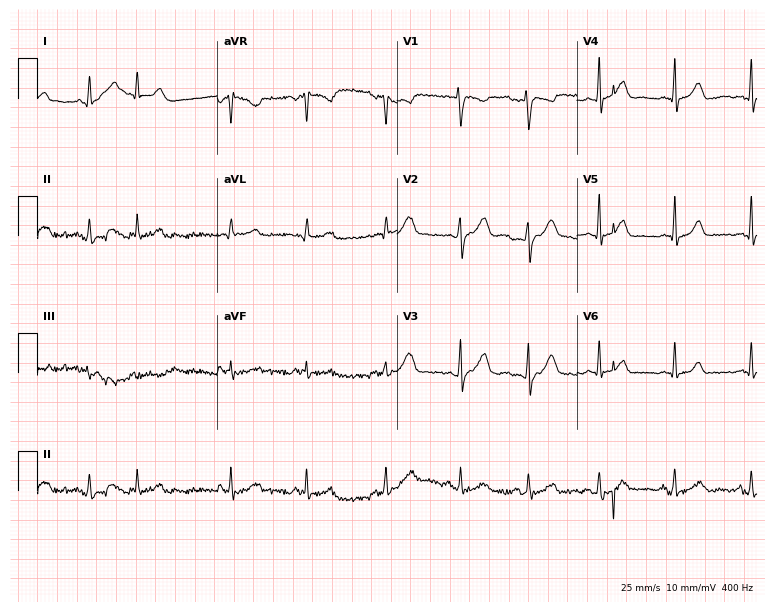
Electrocardiogram, a 28-year-old female. Of the six screened findings (first-degree AV block, right bundle branch block (RBBB), left bundle branch block (LBBB), sinus bradycardia, atrial fibrillation (AF), sinus tachycardia), none is recorded.